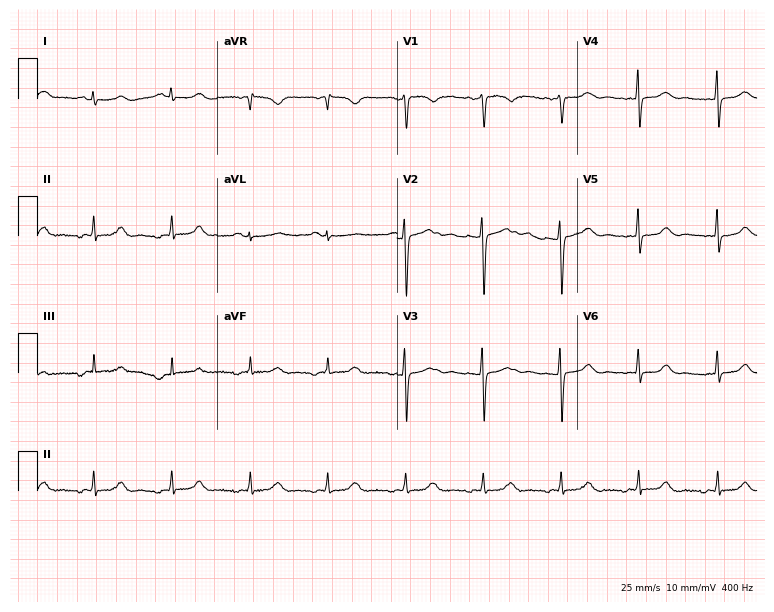
ECG — a woman, 43 years old. Screened for six findings — first-degree AV block, right bundle branch block, left bundle branch block, sinus bradycardia, atrial fibrillation, sinus tachycardia — none is recorded.